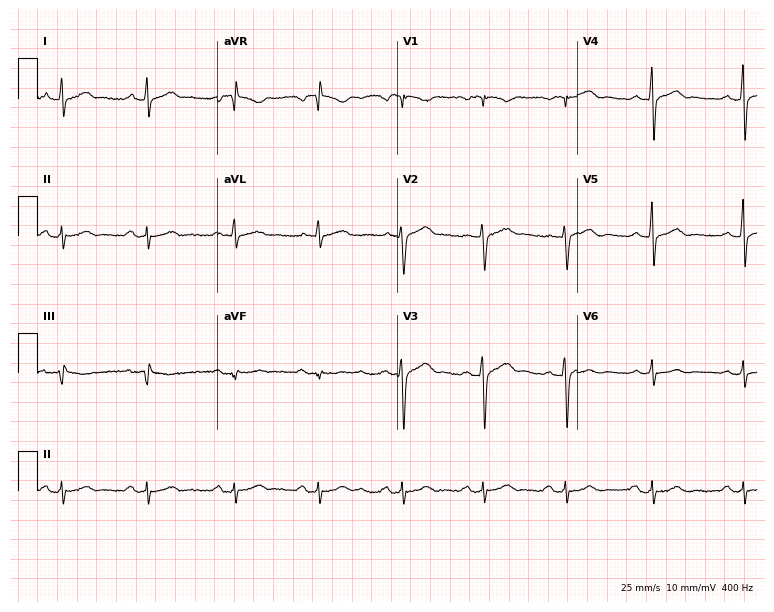
12-lead ECG (7.3-second recording at 400 Hz) from a man, 43 years old. Screened for six findings — first-degree AV block, right bundle branch block, left bundle branch block, sinus bradycardia, atrial fibrillation, sinus tachycardia — none is recorded. Only these six findings were labelled.